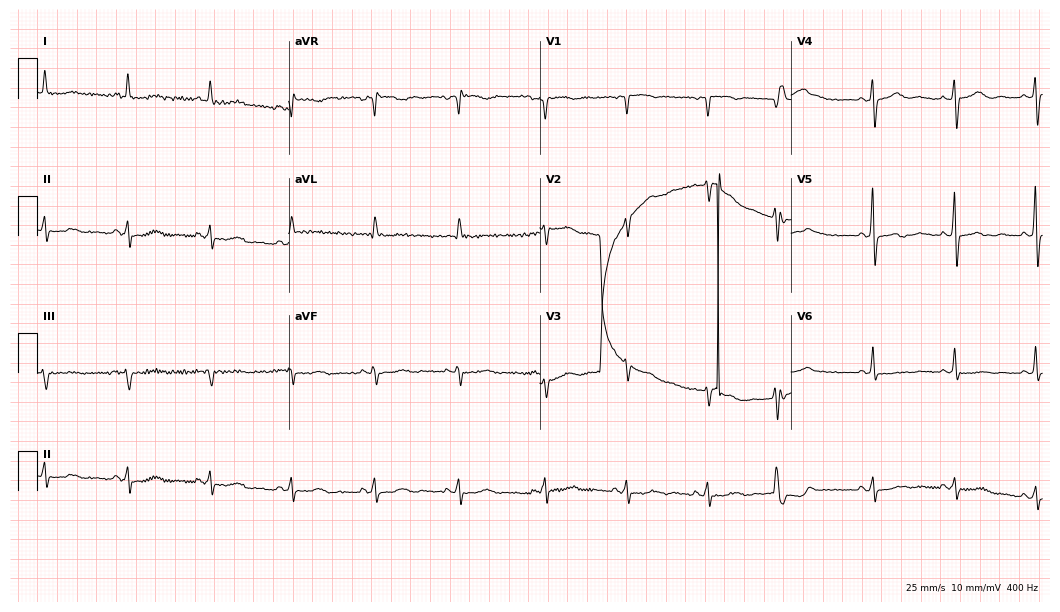
12-lead ECG from a woman, 75 years old. No first-degree AV block, right bundle branch block, left bundle branch block, sinus bradycardia, atrial fibrillation or sinus tachycardia recorded for this tracing. Only these six findings were labelled.